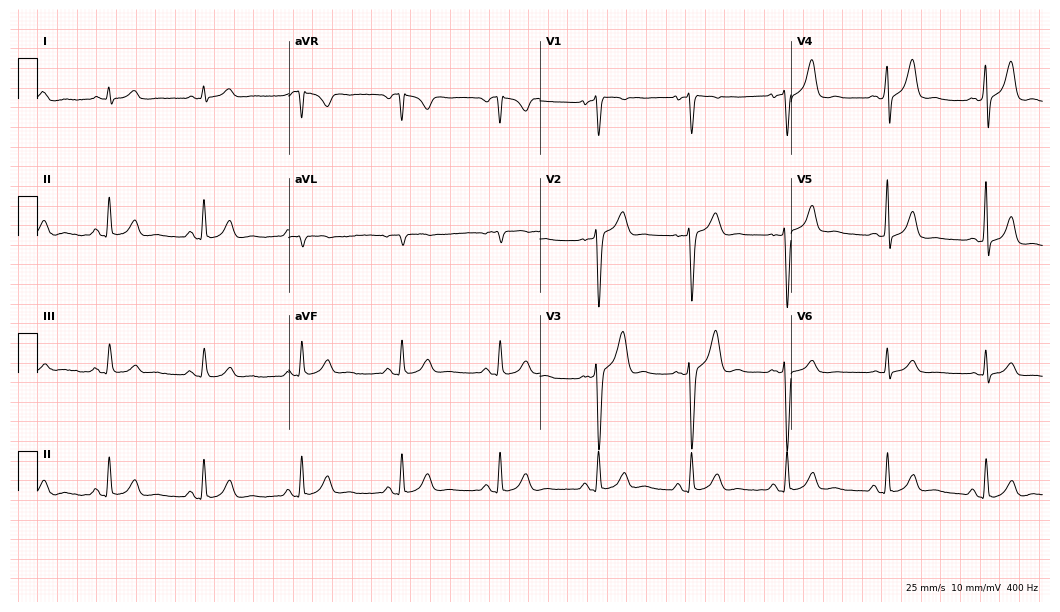
12-lead ECG from a 43-year-old man (10.2-second recording at 400 Hz). Recorded interpretation: within normal limits.